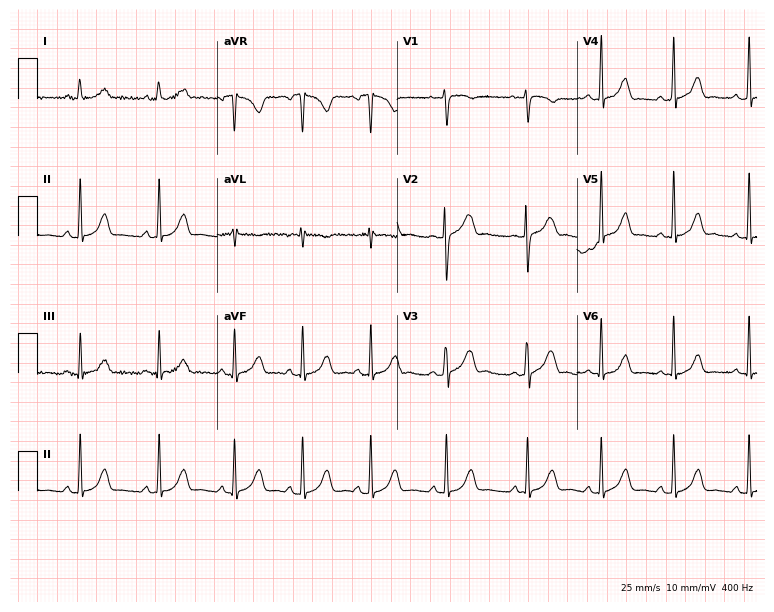
Resting 12-lead electrocardiogram (7.3-second recording at 400 Hz). Patient: a 22-year-old woman. None of these six findings is recorded: first-degree AV block, right bundle branch block, left bundle branch block, sinus bradycardia, atrial fibrillation, sinus tachycardia. Other findings, if any, are not listed.